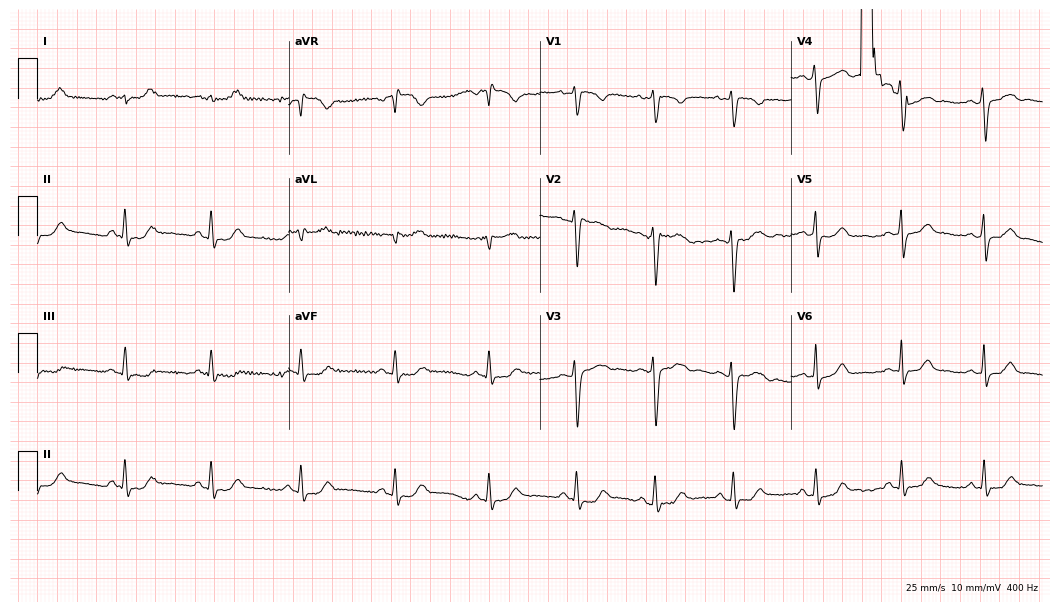
12-lead ECG (10.2-second recording at 400 Hz) from a woman, 35 years old. Screened for six findings — first-degree AV block, right bundle branch block, left bundle branch block, sinus bradycardia, atrial fibrillation, sinus tachycardia — none is recorded. Only these six findings were labelled.